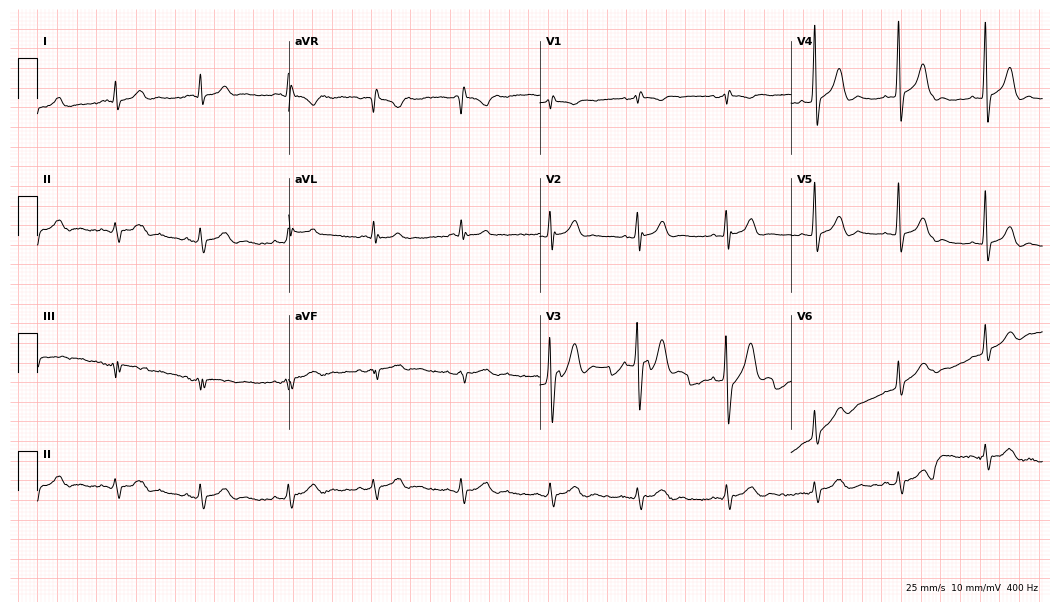
Electrocardiogram, a 34-year-old man. Of the six screened findings (first-degree AV block, right bundle branch block, left bundle branch block, sinus bradycardia, atrial fibrillation, sinus tachycardia), none is recorded.